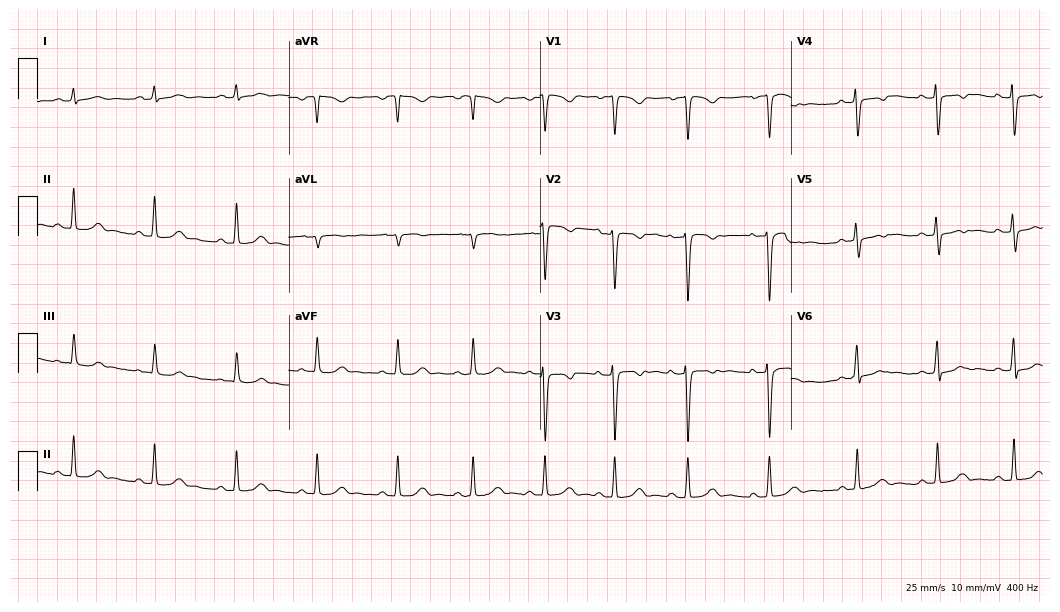
12-lead ECG from a 19-year-old woman. No first-degree AV block, right bundle branch block, left bundle branch block, sinus bradycardia, atrial fibrillation or sinus tachycardia recorded for this tracing.